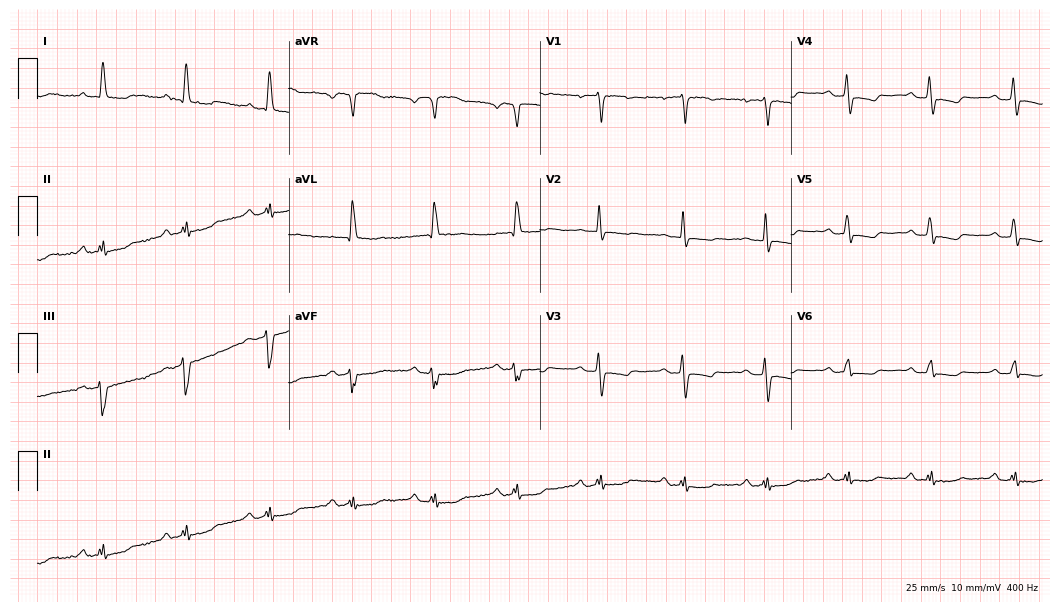
Standard 12-lead ECG recorded from a woman, 77 years old (10.2-second recording at 400 Hz). None of these six findings is recorded: first-degree AV block, right bundle branch block, left bundle branch block, sinus bradycardia, atrial fibrillation, sinus tachycardia.